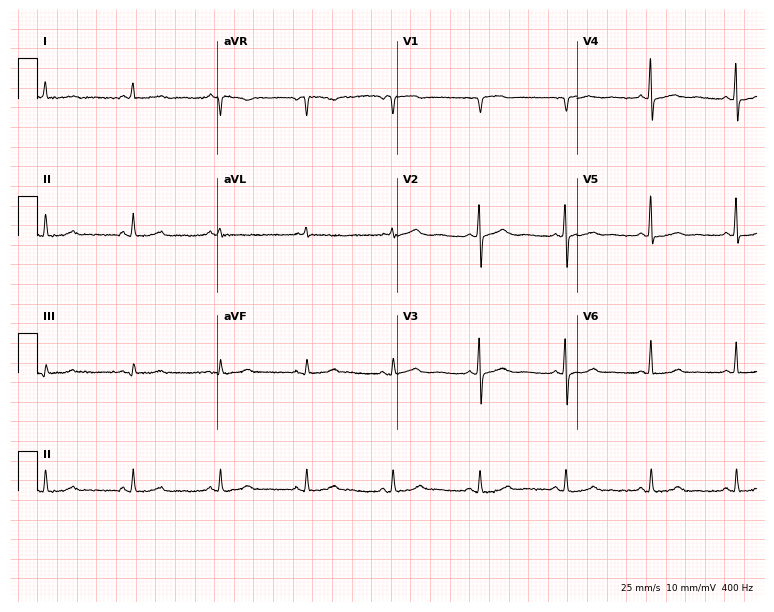
12-lead ECG from a female patient, 70 years old. No first-degree AV block, right bundle branch block (RBBB), left bundle branch block (LBBB), sinus bradycardia, atrial fibrillation (AF) or sinus tachycardia recorded for this tracing.